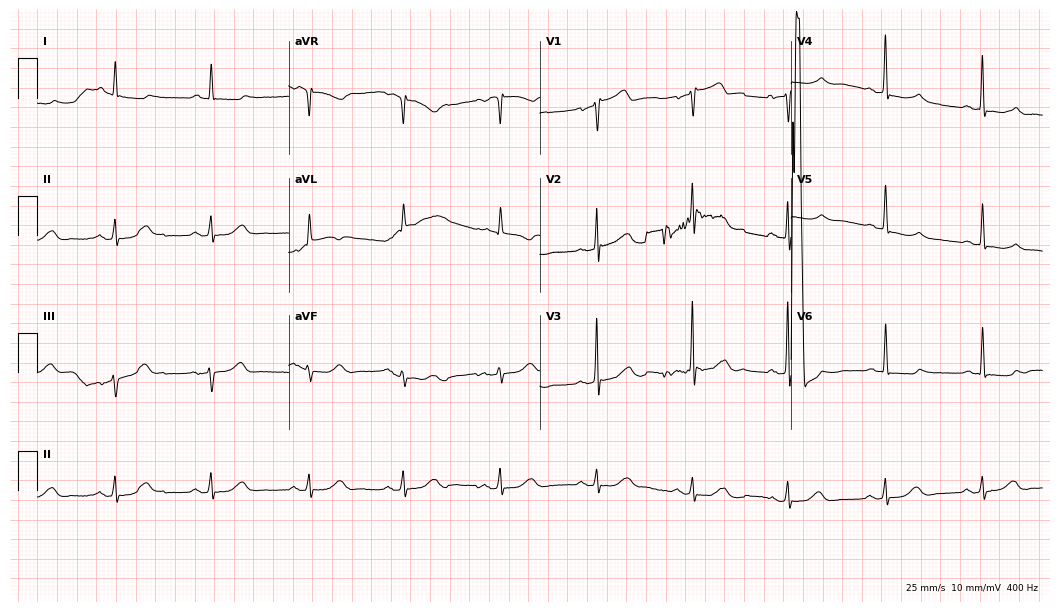
Electrocardiogram (10.2-second recording at 400 Hz), an 81-year-old man. Of the six screened findings (first-degree AV block, right bundle branch block (RBBB), left bundle branch block (LBBB), sinus bradycardia, atrial fibrillation (AF), sinus tachycardia), none is recorded.